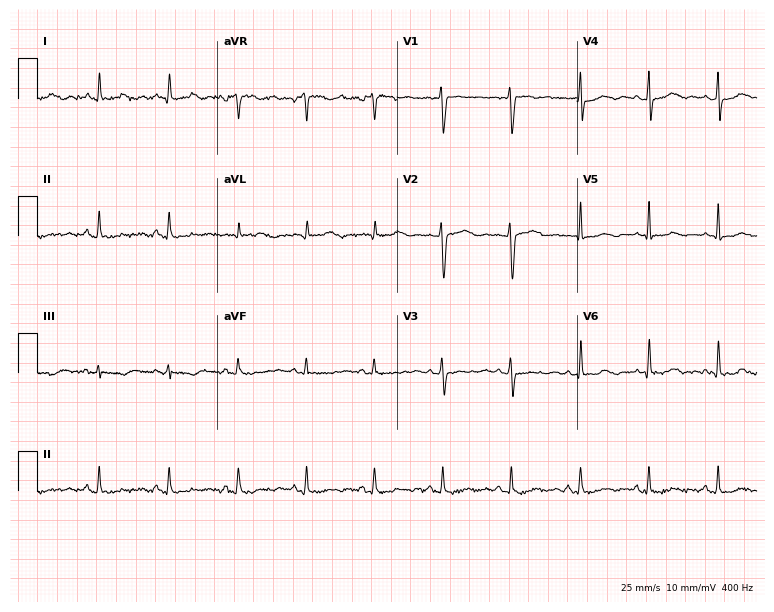
ECG (7.3-second recording at 400 Hz) — a 43-year-old woman. Screened for six findings — first-degree AV block, right bundle branch block (RBBB), left bundle branch block (LBBB), sinus bradycardia, atrial fibrillation (AF), sinus tachycardia — none is recorded.